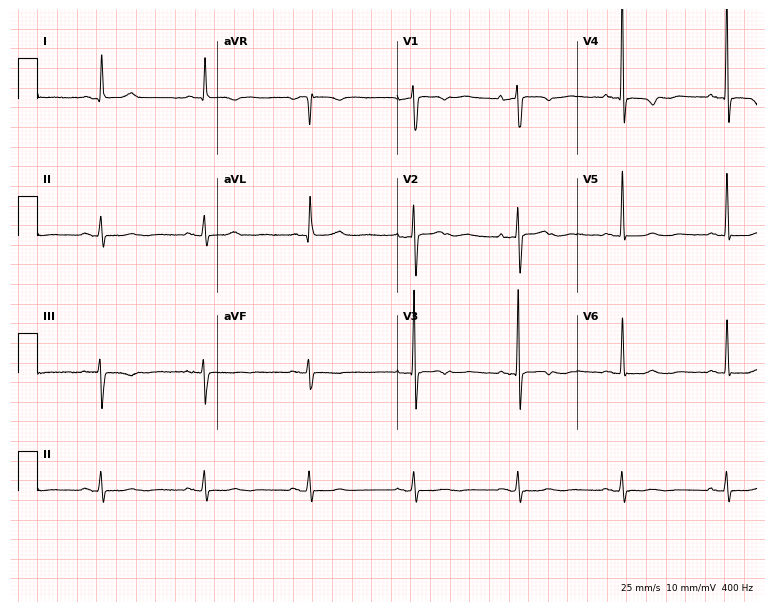
12-lead ECG from a 75-year-old woman. Screened for six findings — first-degree AV block, right bundle branch block, left bundle branch block, sinus bradycardia, atrial fibrillation, sinus tachycardia — none is recorded.